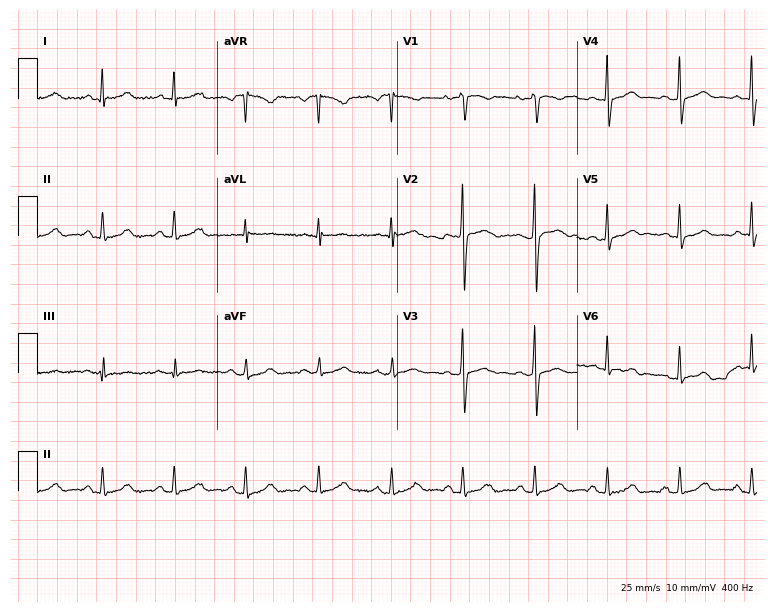
12-lead ECG from a man, 43 years old (7.3-second recording at 400 Hz). No first-degree AV block, right bundle branch block (RBBB), left bundle branch block (LBBB), sinus bradycardia, atrial fibrillation (AF) or sinus tachycardia recorded for this tracing.